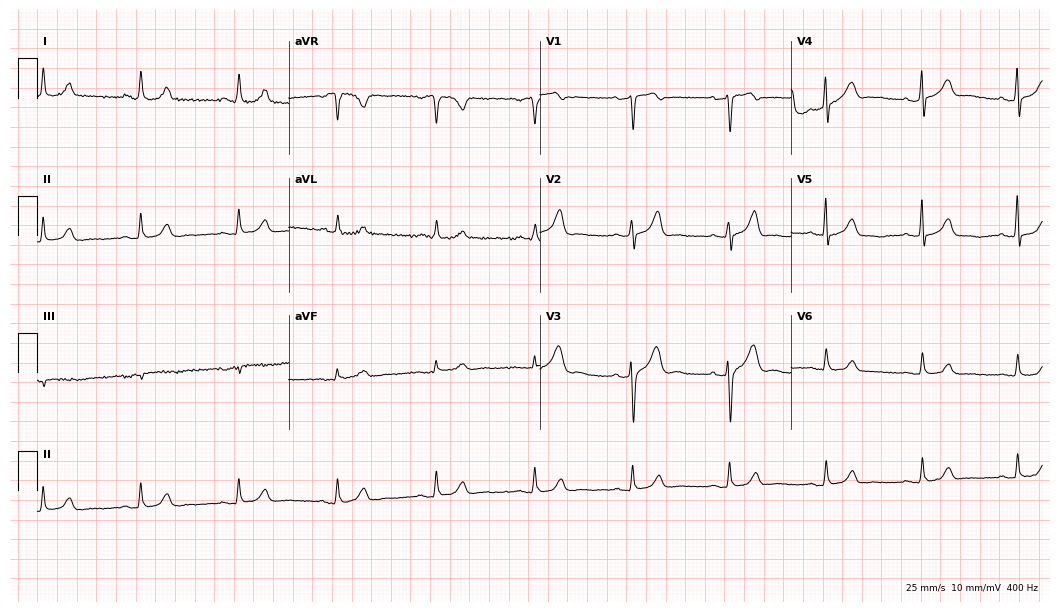
Standard 12-lead ECG recorded from a 60-year-old male (10.2-second recording at 400 Hz). Read as a normal ECG.